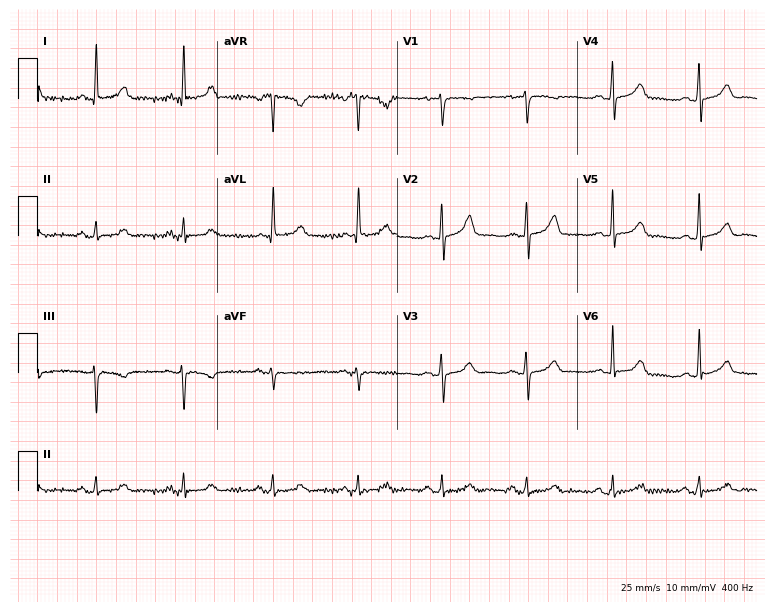
12-lead ECG from a 66-year-old female. Labelled as a normal ECG.